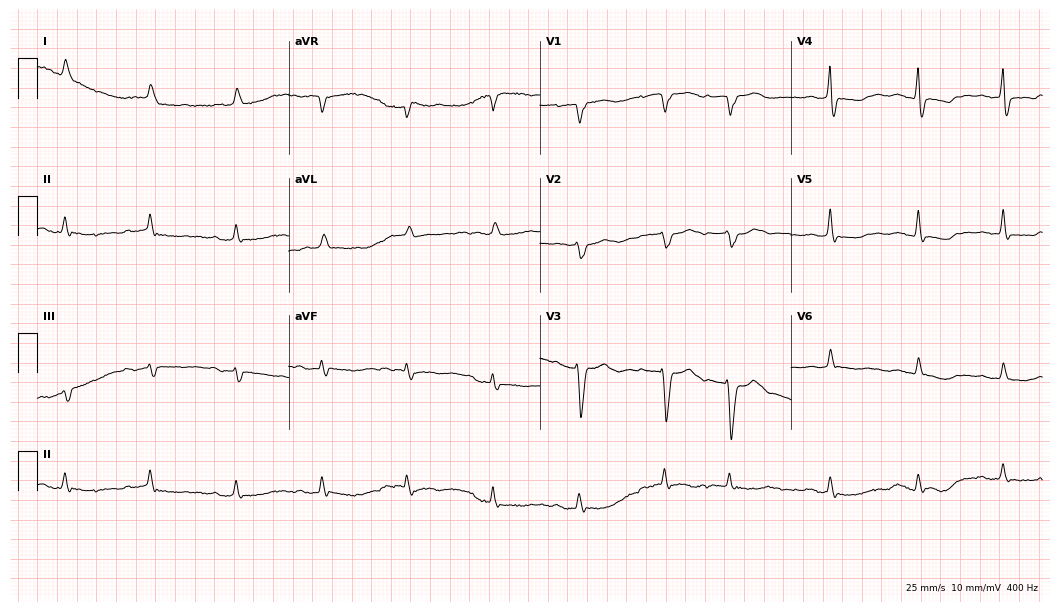
12-lead ECG (10.2-second recording at 400 Hz) from a female patient, 69 years old. Findings include first-degree AV block.